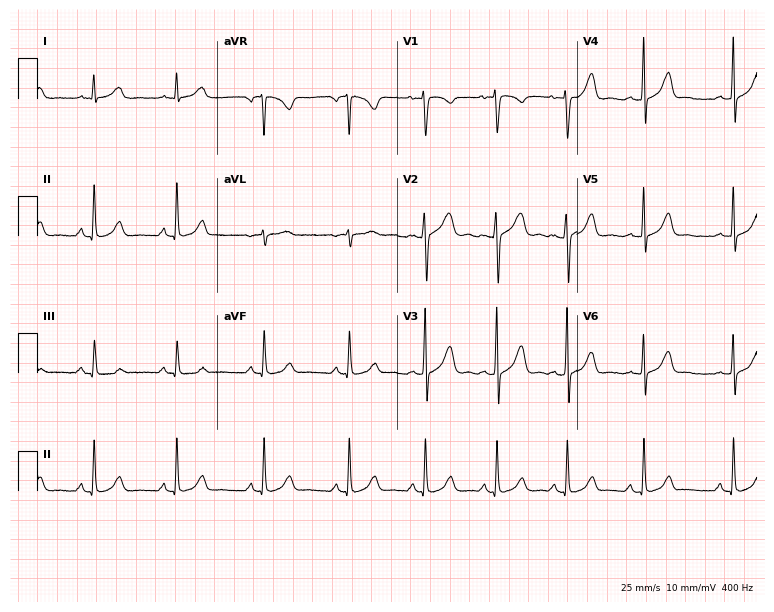
Electrocardiogram (7.3-second recording at 400 Hz), a 21-year-old female. Overall reading on record: normal ECG.